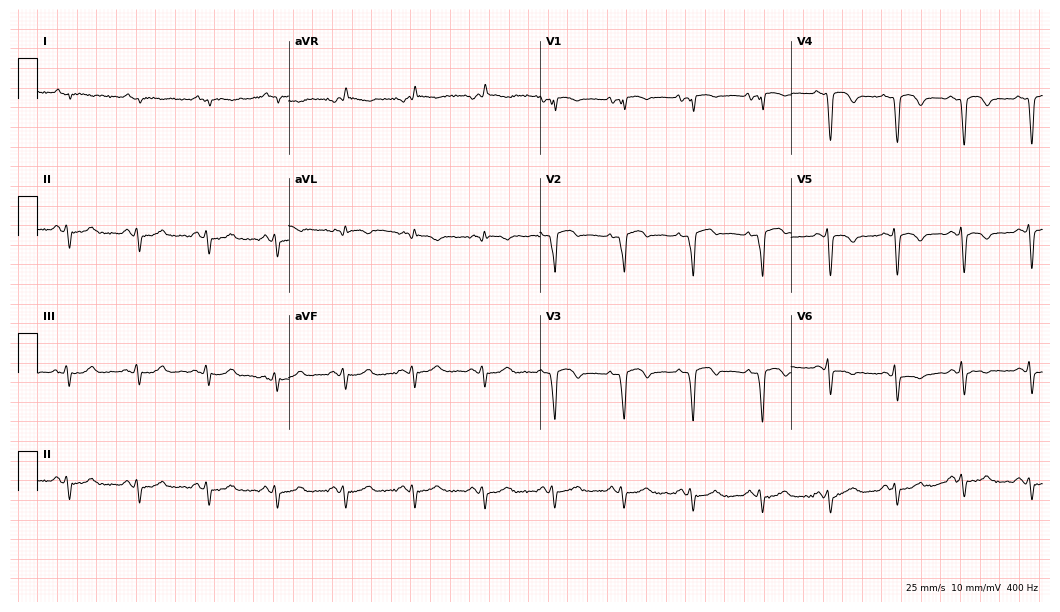
Standard 12-lead ECG recorded from a male, 65 years old (10.2-second recording at 400 Hz). None of these six findings is recorded: first-degree AV block, right bundle branch block, left bundle branch block, sinus bradycardia, atrial fibrillation, sinus tachycardia. Only these six findings were labelled.